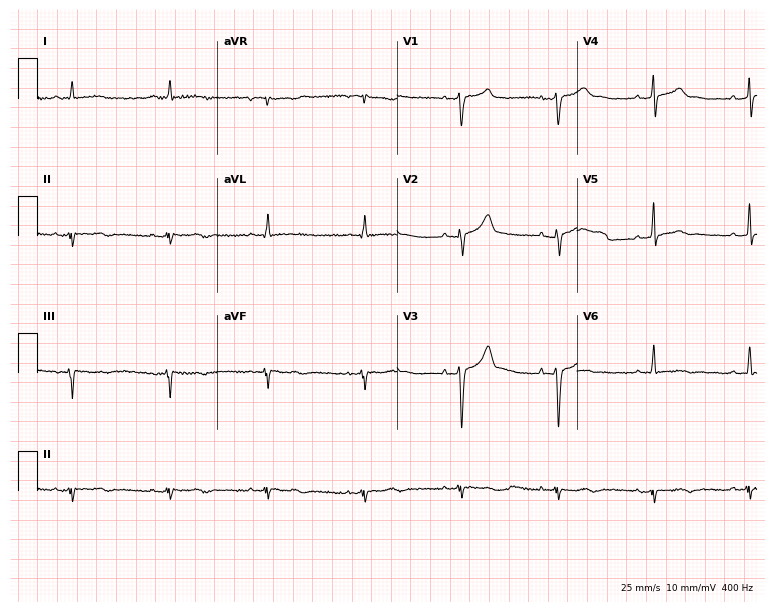
12-lead ECG from a man, 45 years old. No first-degree AV block, right bundle branch block, left bundle branch block, sinus bradycardia, atrial fibrillation or sinus tachycardia recorded for this tracing.